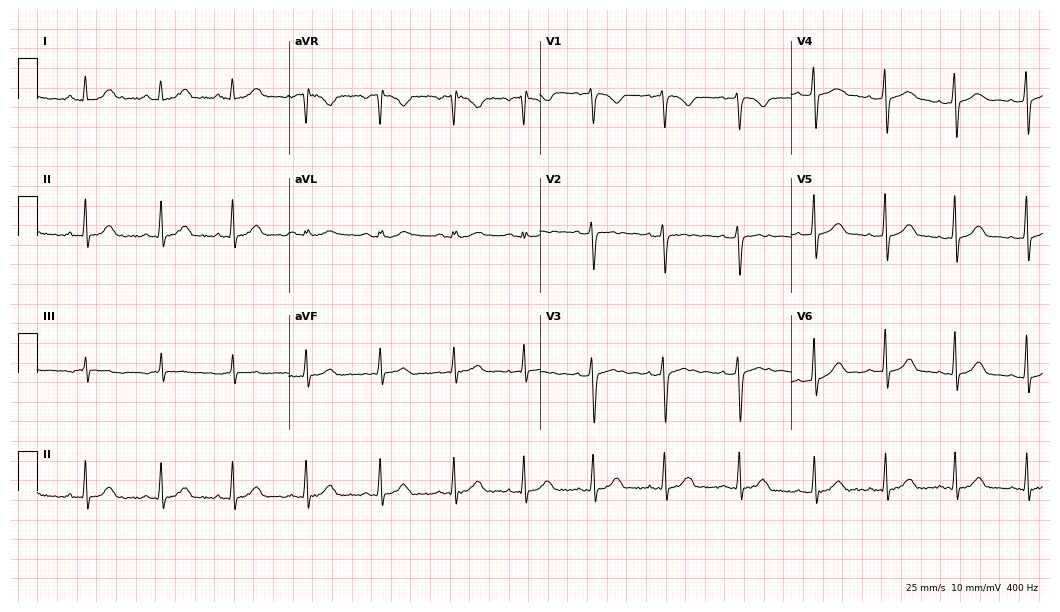
ECG (10.2-second recording at 400 Hz) — a 20-year-old female patient. Labelled as a normal ECG.